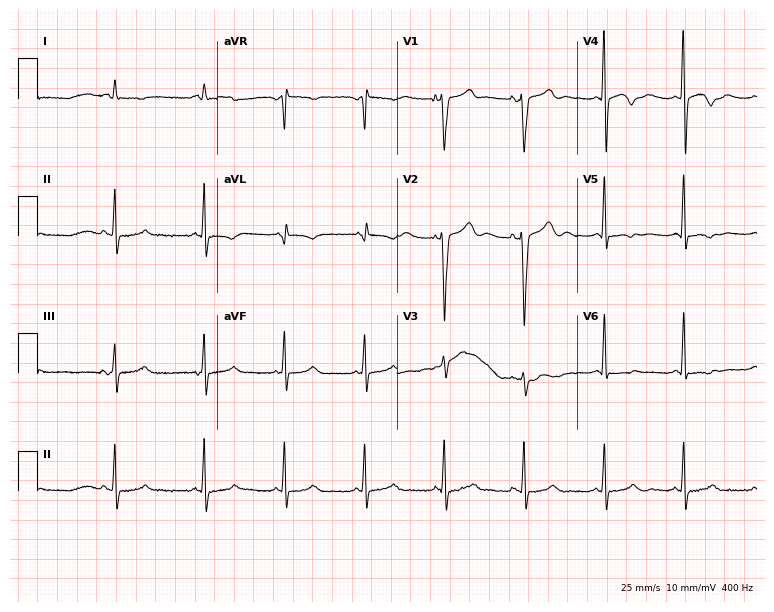
ECG (7.3-second recording at 400 Hz) — a male patient, 72 years old. Screened for six findings — first-degree AV block, right bundle branch block (RBBB), left bundle branch block (LBBB), sinus bradycardia, atrial fibrillation (AF), sinus tachycardia — none is recorded. Findings outside these six are not listed.